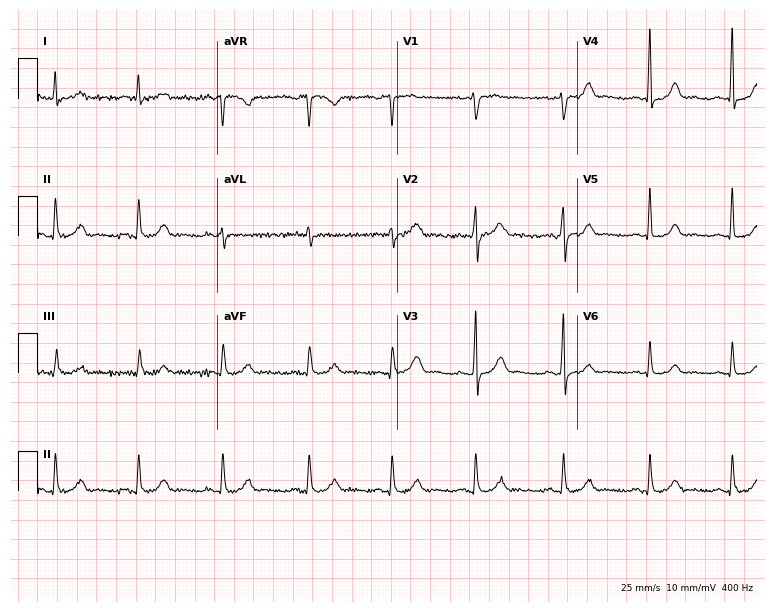
12-lead ECG (7.3-second recording at 400 Hz) from a 55-year-old woman. Labelled as a normal ECG.